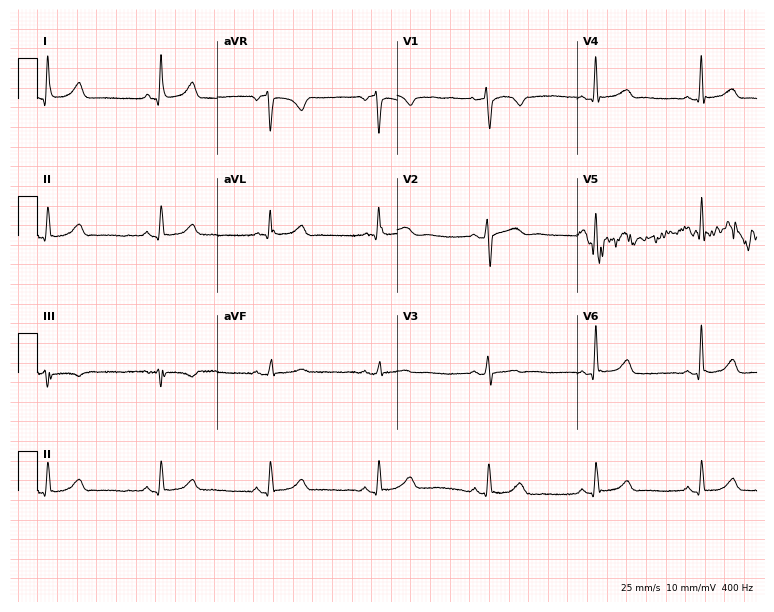
Resting 12-lead electrocardiogram (7.3-second recording at 400 Hz). Patient: a 55-year-old woman. Read as a normal ECG.